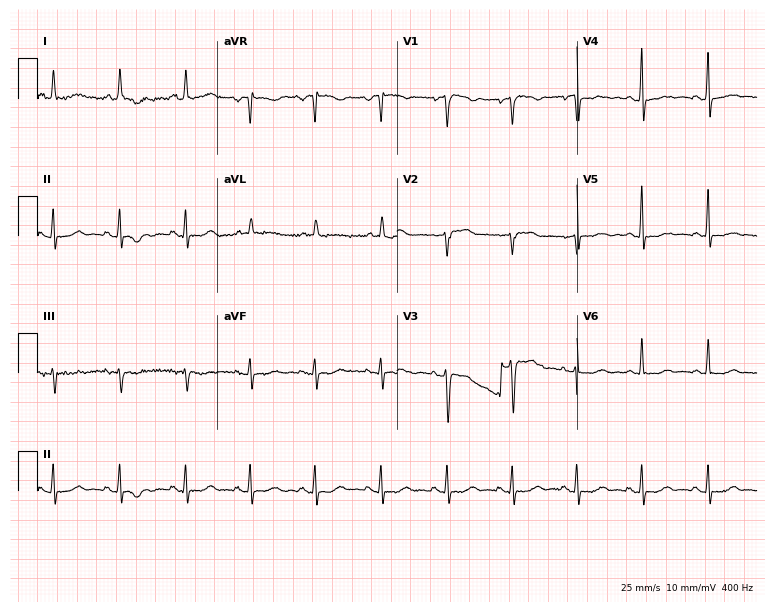
ECG (7.3-second recording at 400 Hz) — a woman, 70 years old. Labelled as a normal ECG.